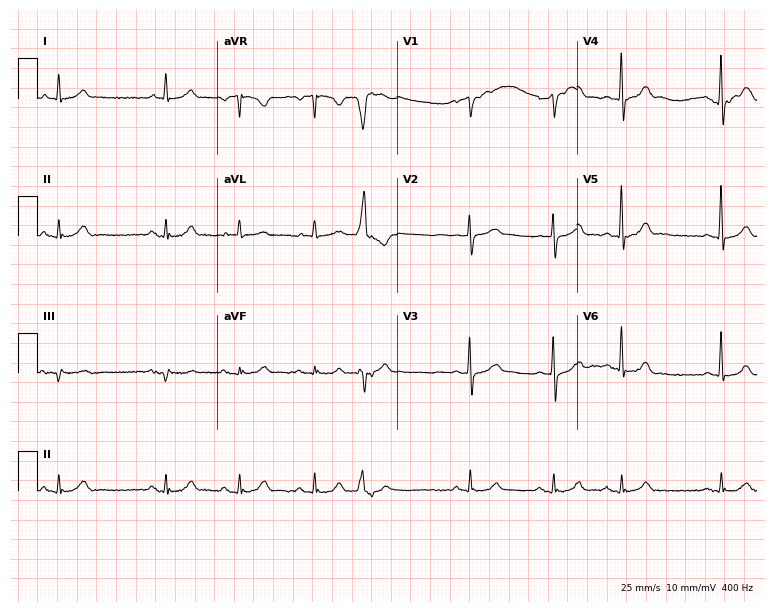
Resting 12-lead electrocardiogram (7.3-second recording at 400 Hz). Patient: a male, 85 years old. None of these six findings is recorded: first-degree AV block, right bundle branch block, left bundle branch block, sinus bradycardia, atrial fibrillation, sinus tachycardia.